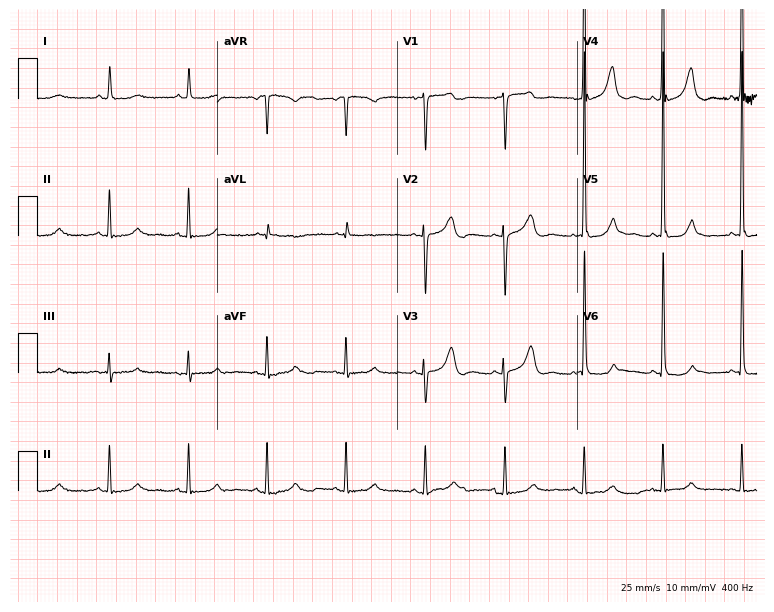
ECG (7.3-second recording at 400 Hz) — a 77-year-old woman. Labelled as a normal ECG.